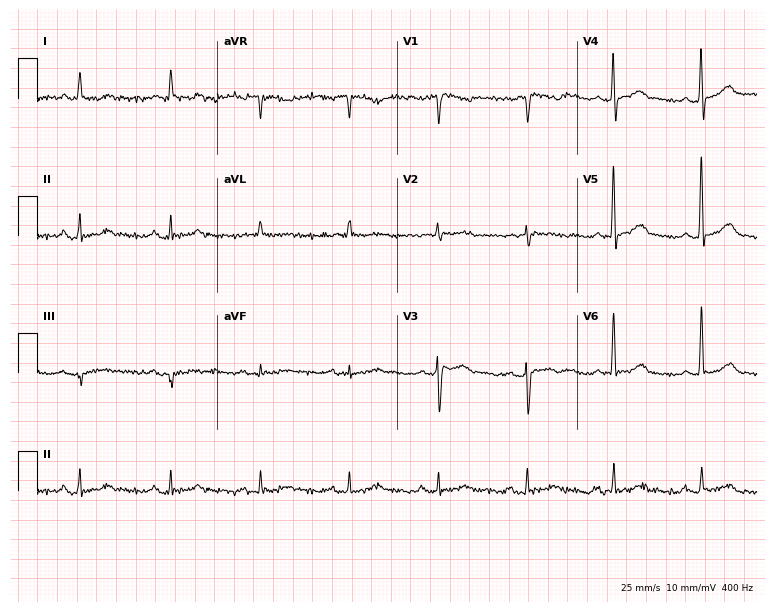
Resting 12-lead electrocardiogram (7.3-second recording at 400 Hz). Patient: a 72-year-old male. Read as a normal ECG.